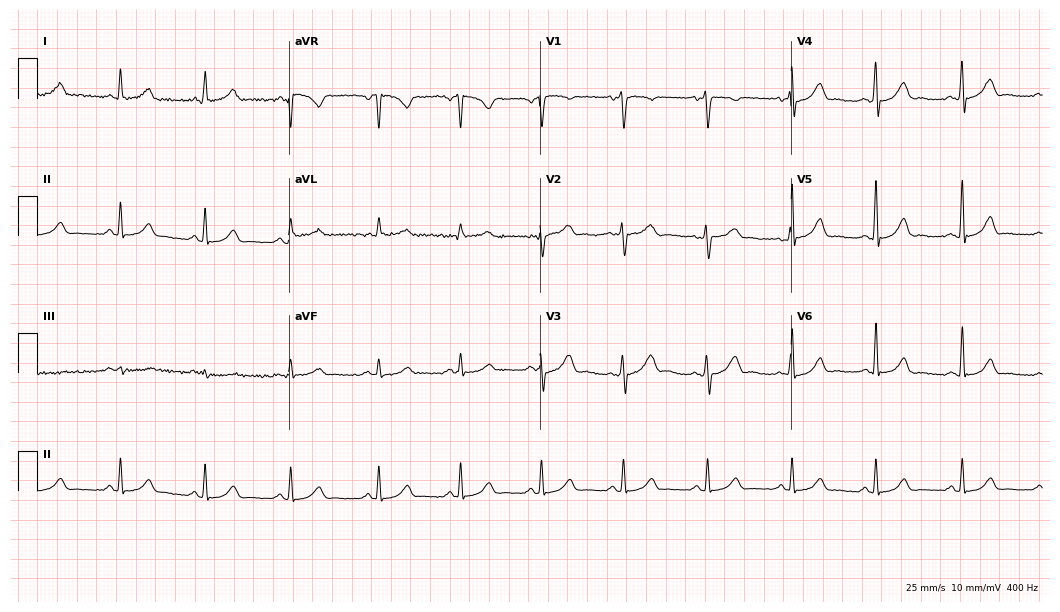
12-lead ECG from a woman, 37 years old. Recorded interpretation: within normal limits.